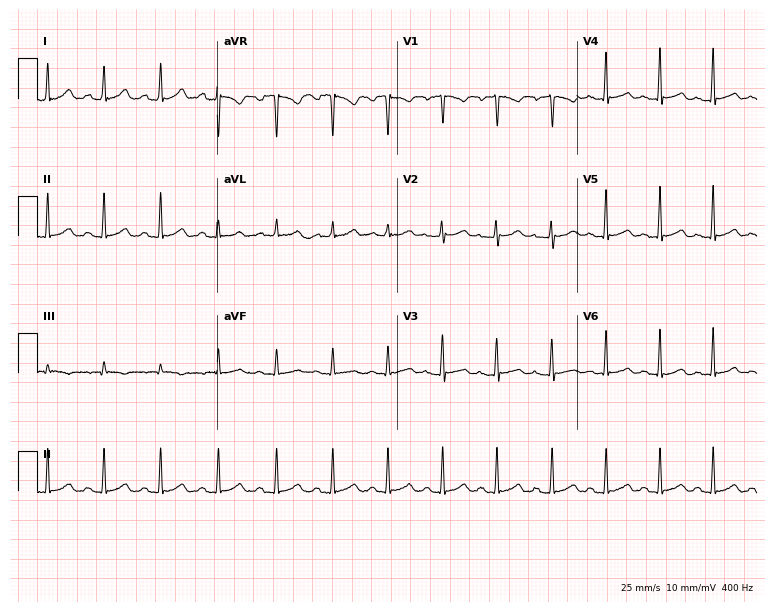
Standard 12-lead ECG recorded from a 24-year-old female patient (7.3-second recording at 400 Hz). The tracing shows sinus tachycardia (a sinus rate of 100 beats per minute or more).